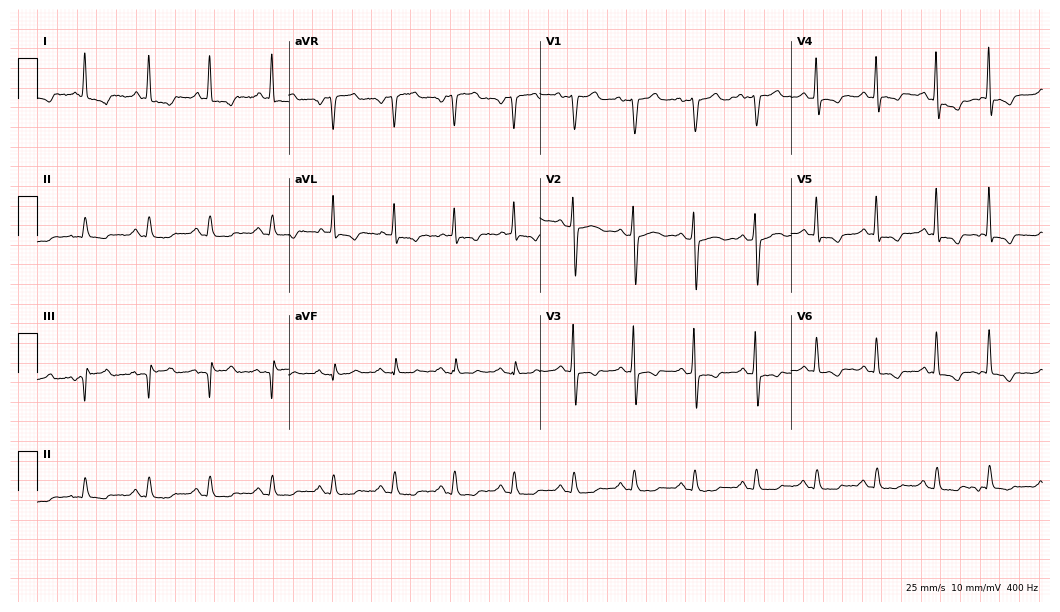
Standard 12-lead ECG recorded from a 66-year-old male (10.2-second recording at 400 Hz). None of these six findings is recorded: first-degree AV block, right bundle branch block, left bundle branch block, sinus bradycardia, atrial fibrillation, sinus tachycardia.